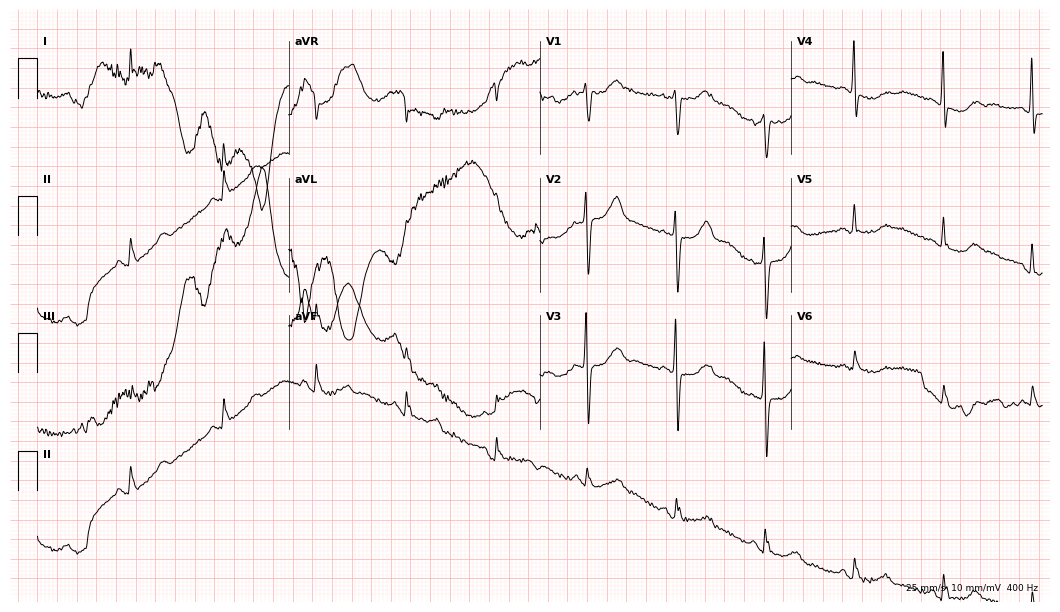
Electrocardiogram (10.2-second recording at 400 Hz), a woman, 77 years old. Of the six screened findings (first-degree AV block, right bundle branch block, left bundle branch block, sinus bradycardia, atrial fibrillation, sinus tachycardia), none is recorded.